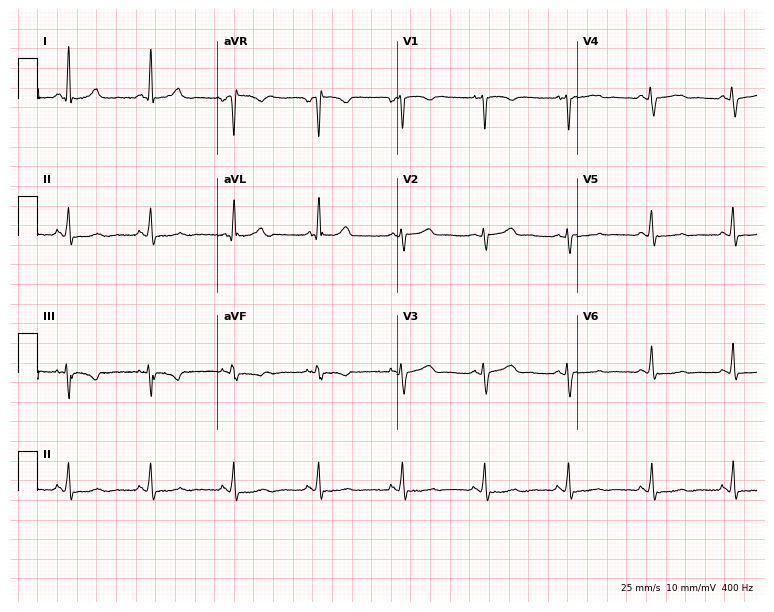
Resting 12-lead electrocardiogram (7.3-second recording at 400 Hz). Patient: a 50-year-old woman. None of these six findings is recorded: first-degree AV block, right bundle branch block, left bundle branch block, sinus bradycardia, atrial fibrillation, sinus tachycardia. Other findings, if any, are not listed.